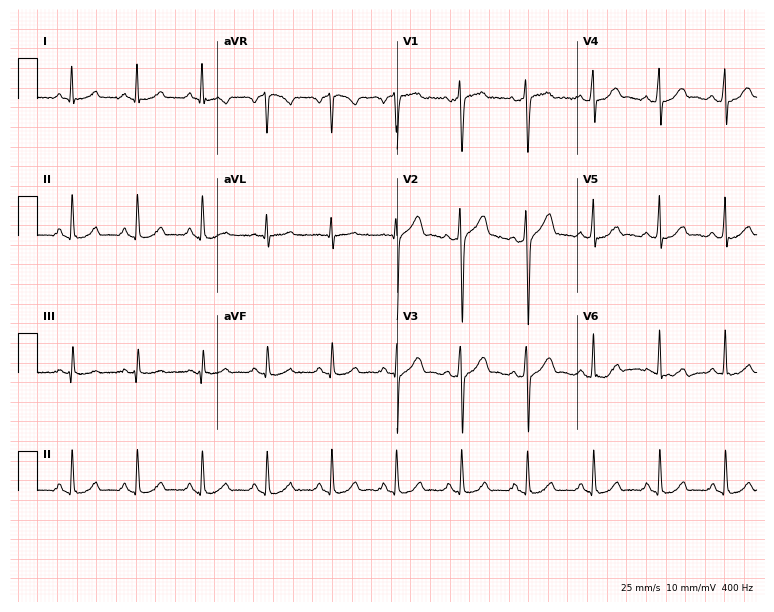
12-lead ECG from a man, 43 years old. Labelled as a normal ECG.